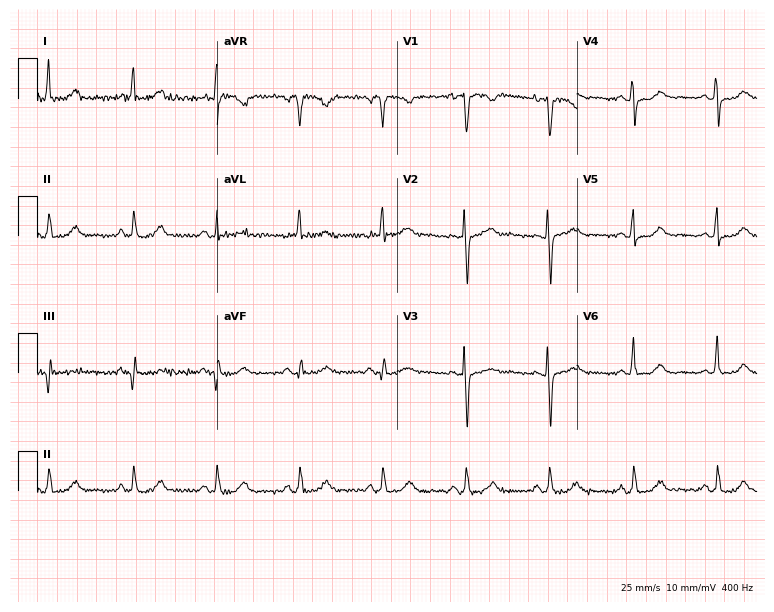
ECG (7.3-second recording at 400 Hz) — a 63-year-old woman. Labelled as a normal ECG.